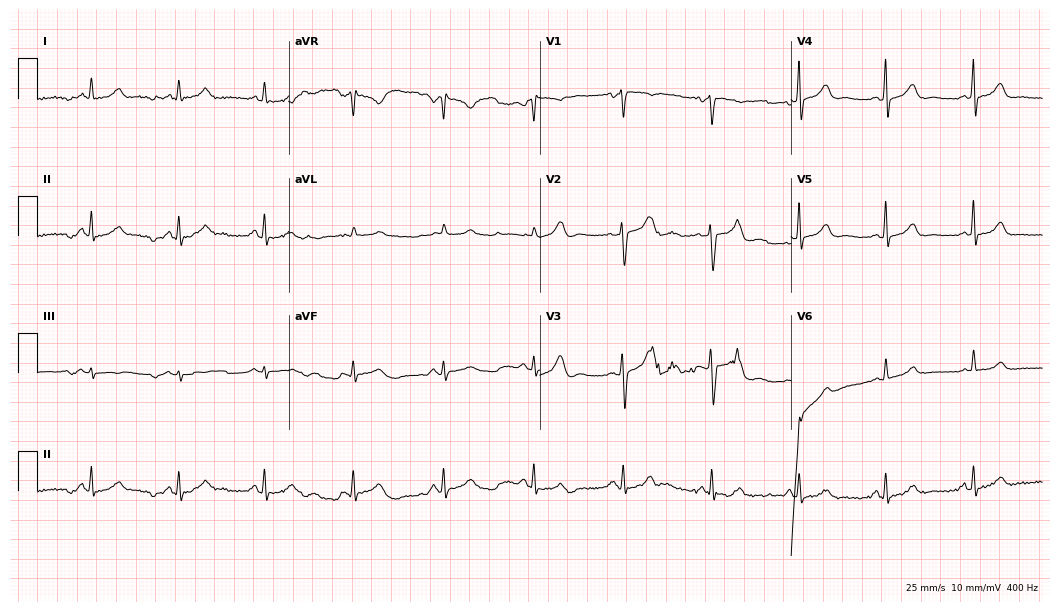
Electrocardiogram (10.2-second recording at 400 Hz), a female, 42 years old. Of the six screened findings (first-degree AV block, right bundle branch block, left bundle branch block, sinus bradycardia, atrial fibrillation, sinus tachycardia), none is recorded.